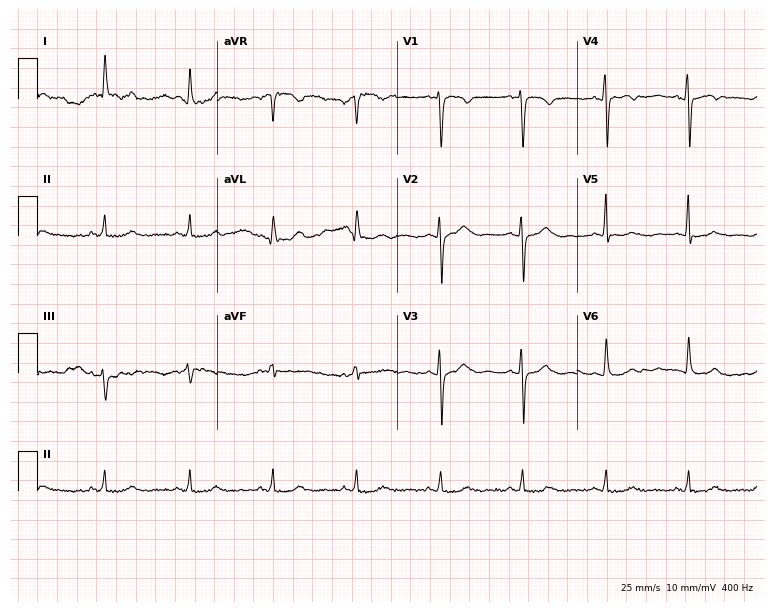
Electrocardiogram (7.3-second recording at 400 Hz), a 50-year-old woman. Of the six screened findings (first-degree AV block, right bundle branch block (RBBB), left bundle branch block (LBBB), sinus bradycardia, atrial fibrillation (AF), sinus tachycardia), none is recorded.